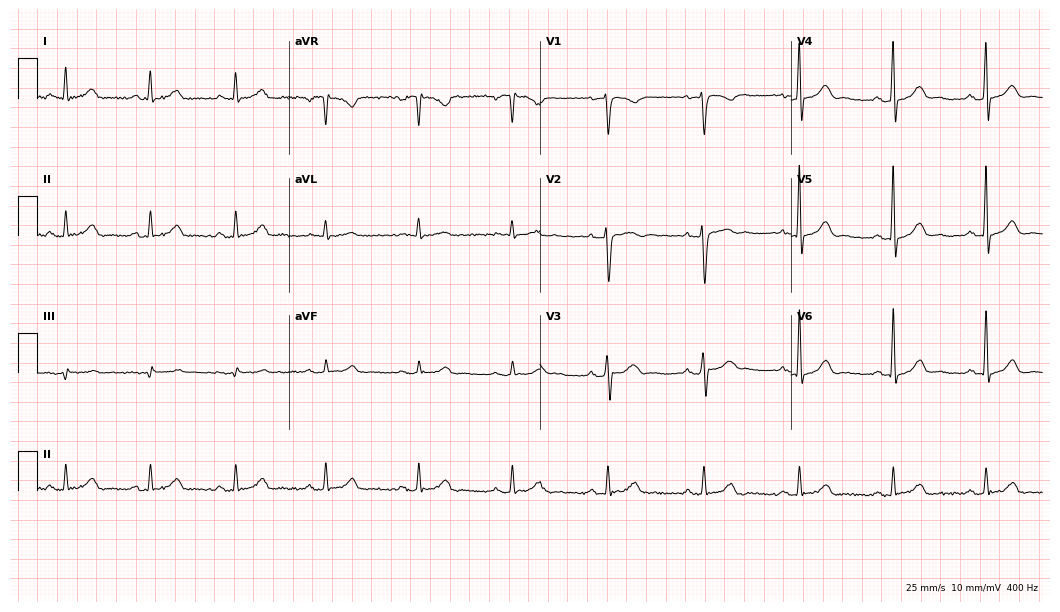
Electrocardiogram, a male patient, 51 years old. Overall reading on record: normal ECG.